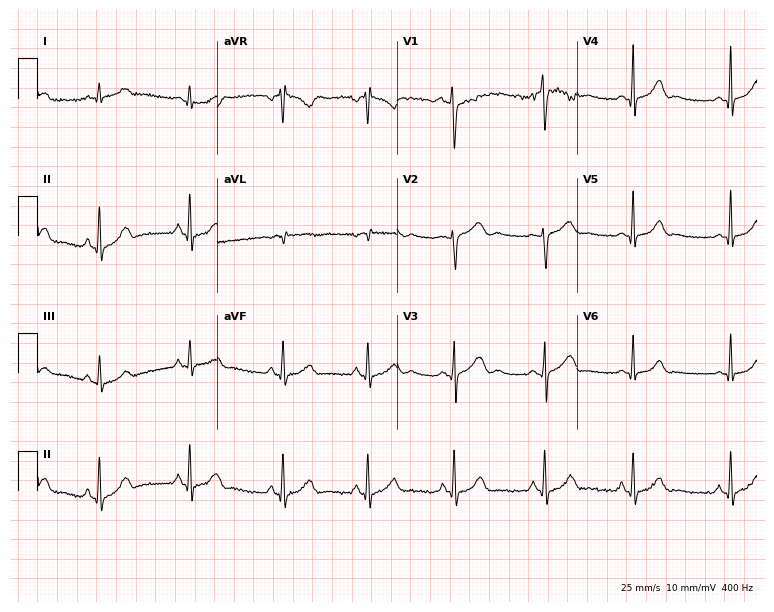
ECG (7.3-second recording at 400 Hz) — a male, 25 years old. Labelled as a normal ECG.